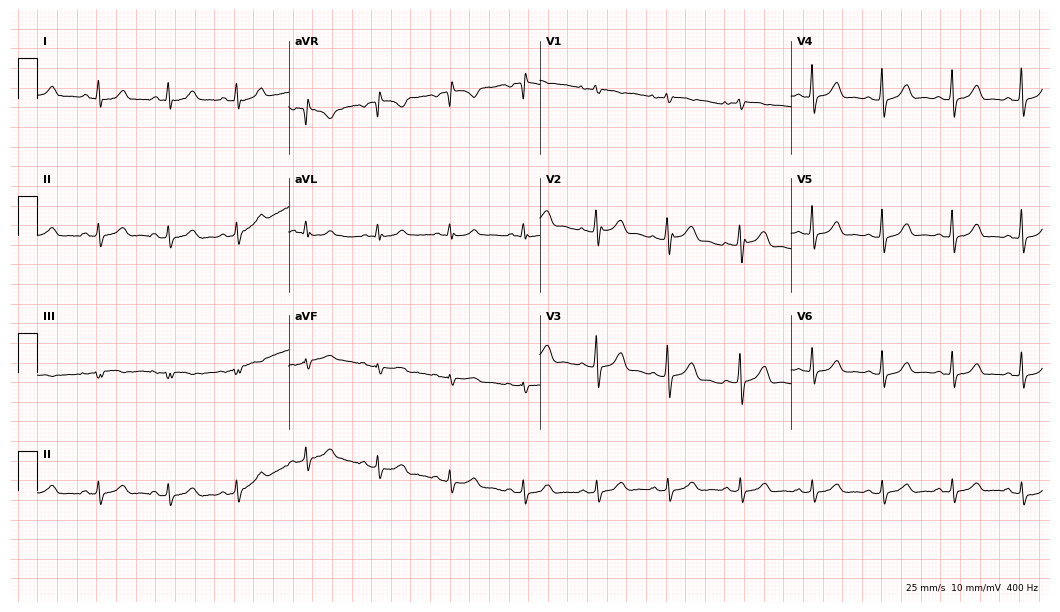
Resting 12-lead electrocardiogram. Patient: a female, 35 years old. Read as a normal ECG.